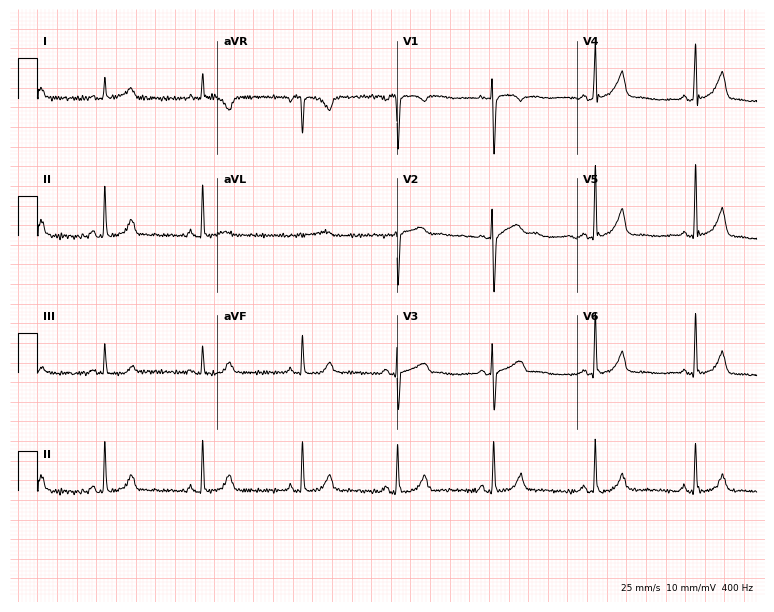
ECG (7.3-second recording at 400 Hz) — a female, 41 years old. Screened for six findings — first-degree AV block, right bundle branch block (RBBB), left bundle branch block (LBBB), sinus bradycardia, atrial fibrillation (AF), sinus tachycardia — none is recorded. Other findings, if any, are not listed.